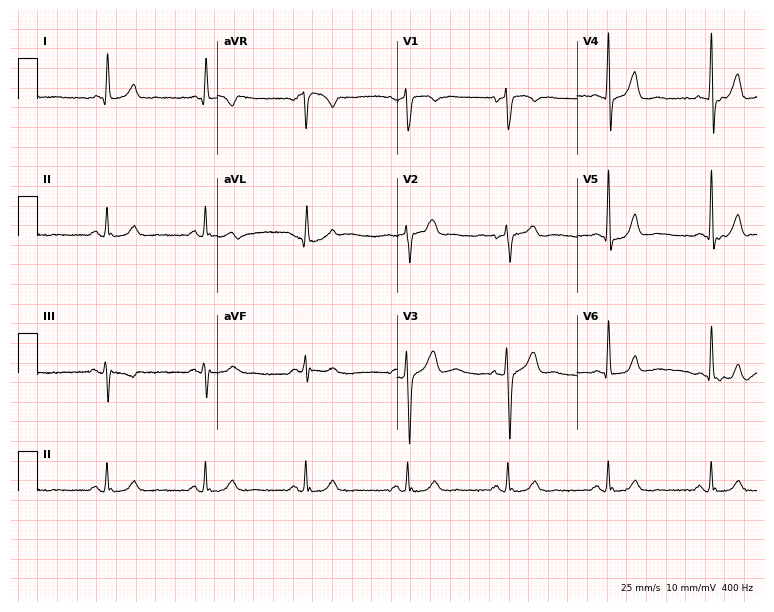
Resting 12-lead electrocardiogram. Patient: a male, 52 years old. Read as a normal ECG.